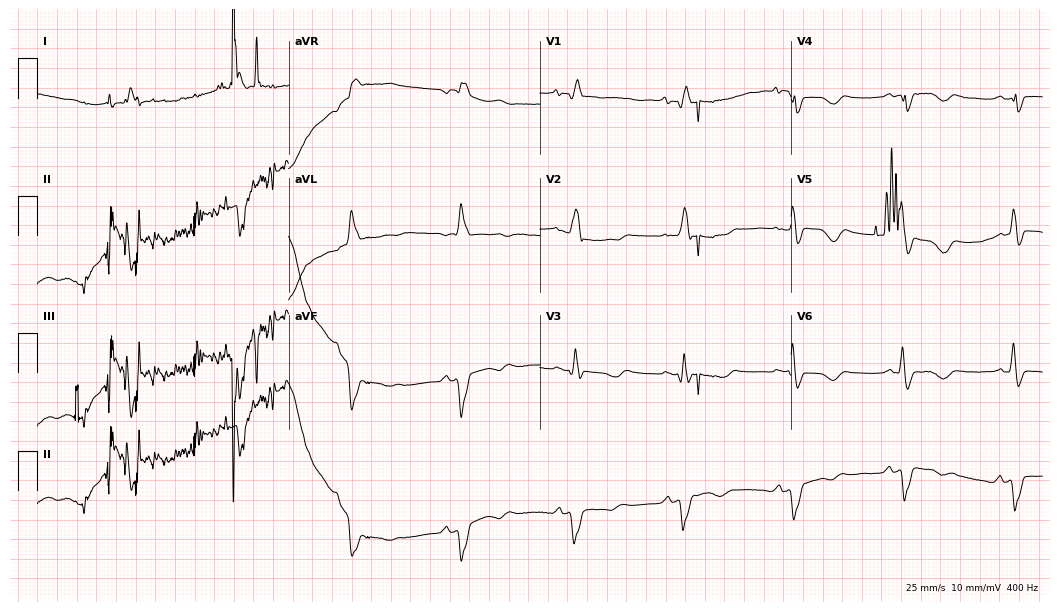
Resting 12-lead electrocardiogram (10.2-second recording at 400 Hz). Patient: a 67-year-old woman. None of these six findings is recorded: first-degree AV block, right bundle branch block, left bundle branch block, sinus bradycardia, atrial fibrillation, sinus tachycardia.